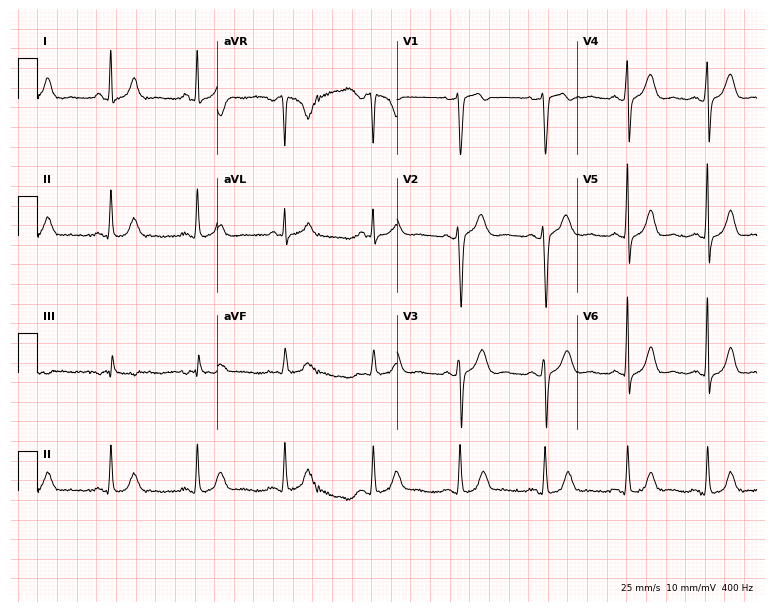
Standard 12-lead ECG recorded from a female, 33 years old (7.3-second recording at 400 Hz). None of these six findings is recorded: first-degree AV block, right bundle branch block (RBBB), left bundle branch block (LBBB), sinus bradycardia, atrial fibrillation (AF), sinus tachycardia. Only these six findings were labelled.